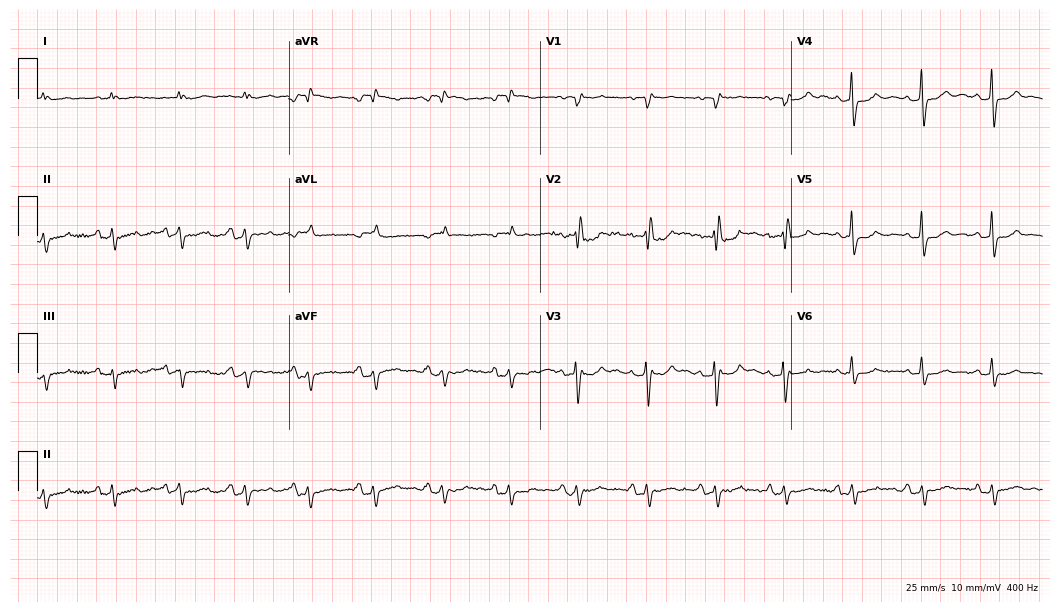
Resting 12-lead electrocardiogram. Patient: a man, 78 years old. None of these six findings is recorded: first-degree AV block, right bundle branch block, left bundle branch block, sinus bradycardia, atrial fibrillation, sinus tachycardia. Only these six findings were labelled.